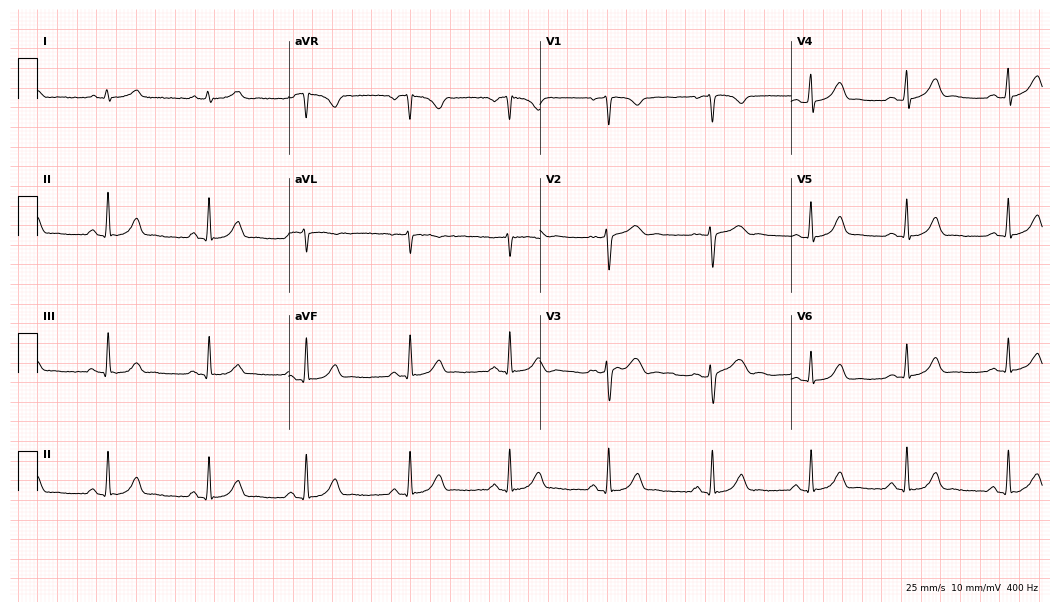
Electrocardiogram (10.2-second recording at 400 Hz), a female, 36 years old. Overall reading on record: normal ECG.